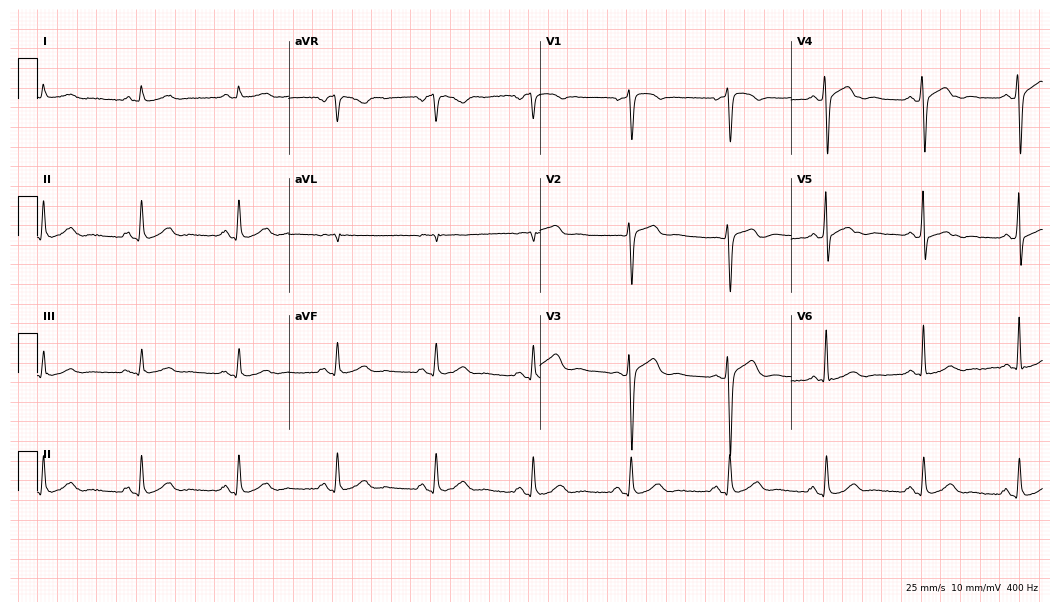
ECG (10.2-second recording at 400 Hz) — a man, 44 years old. Screened for six findings — first-degree AV block, right bundle branch block, left bundle branch block, sinus bradycardia, atrial fibrillation, sinus tachycardia — none is recorded.